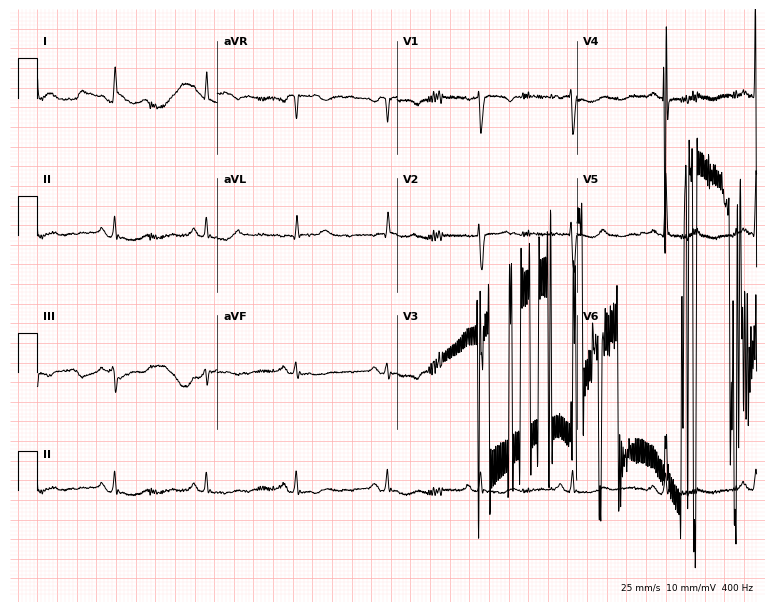
Standard 12-lead ECG recorded from a 57-year-old woman (7.3-second recording at 400 Hz). None of these six findings is recorded: first-degree AV block, right bundle branch block, left bundle branch block, sinus bradycardia, atrial fibrillation, sinus tachycardia. Only these six findings were labelled.